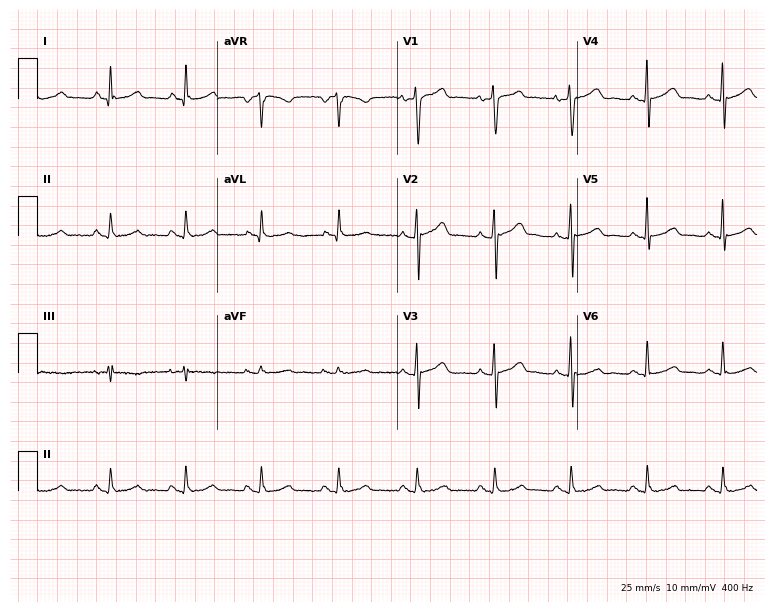
12-lead ECG from a 46-year-old male. No first-degree AV block, right bundle branch block (RBBB), left bundle branch block (LBBB), sinus bradycardia, atrial fibrillation (AF) or sinus tachycardia recorded for this tracing. Only these six findings were labelled.